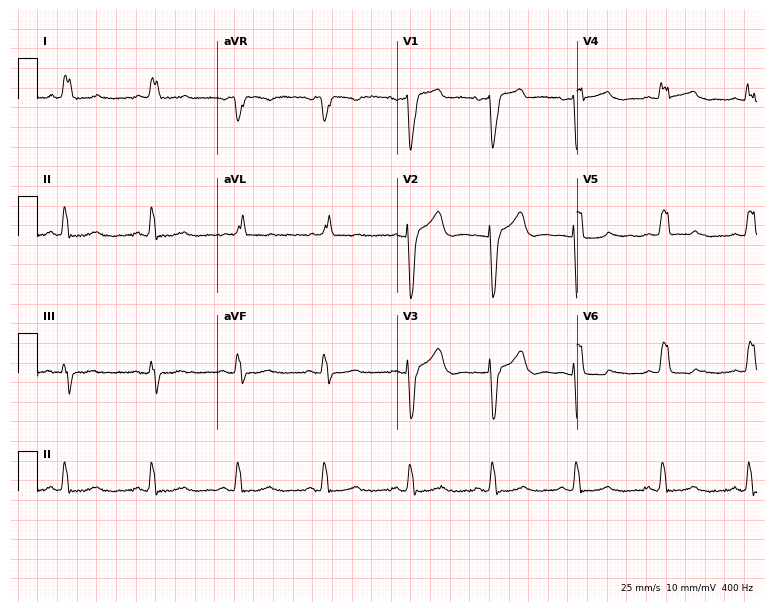
ECG (7.3-second recording at 400 Hz) — a woman, 56 years old. Findings include left bundle branch block.